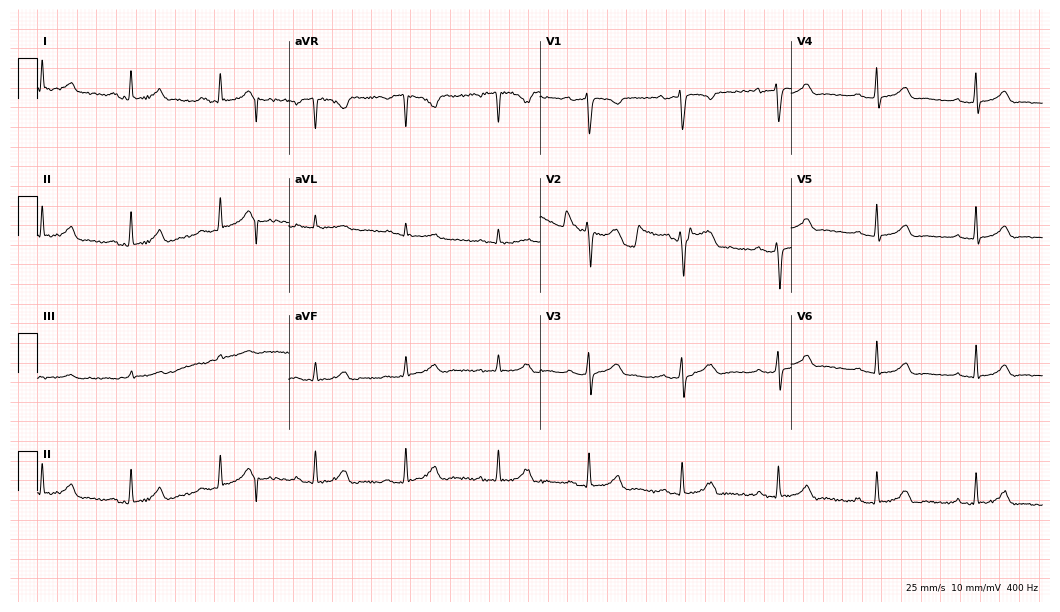
Electrocardiogram, a female patient, 34 years old. Of the six screened findings (first-degree AV block, right bundle branch block (RBBB), left bundle branch block (LBBB), sinus bradycardia, atrial fibrillation (AF), sinus tachycardia), none is recorded.